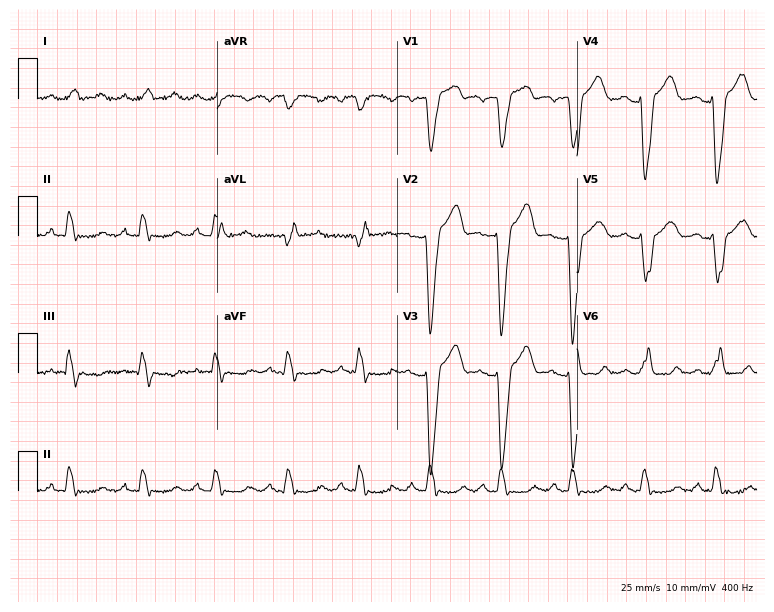
Electrocardiogram, a male patient, 54 years old. Interpretation includes left bundle branch block (LBBB).